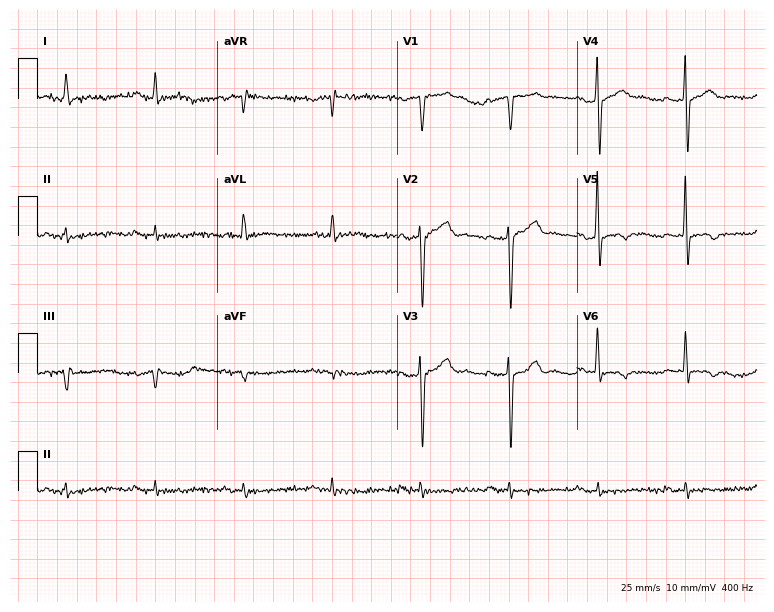
12-lead ECG from a 70-year-old male. No first-degree AV block, right bundle branch block, left bundle branch block, sinus bradycardia, atrial fibrillation or sinus tachycardia recorded for this tracing.